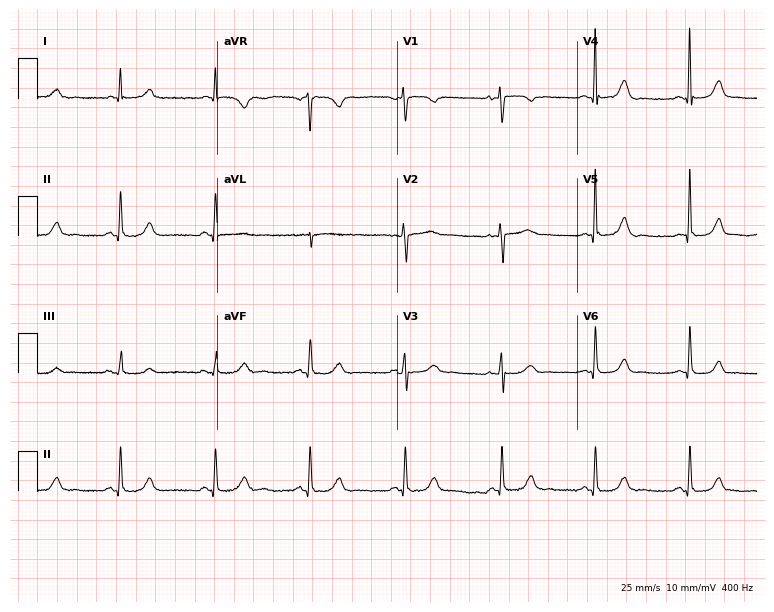
12-lead ECG from a 71-year-old female. Labelled as a normal ECG.